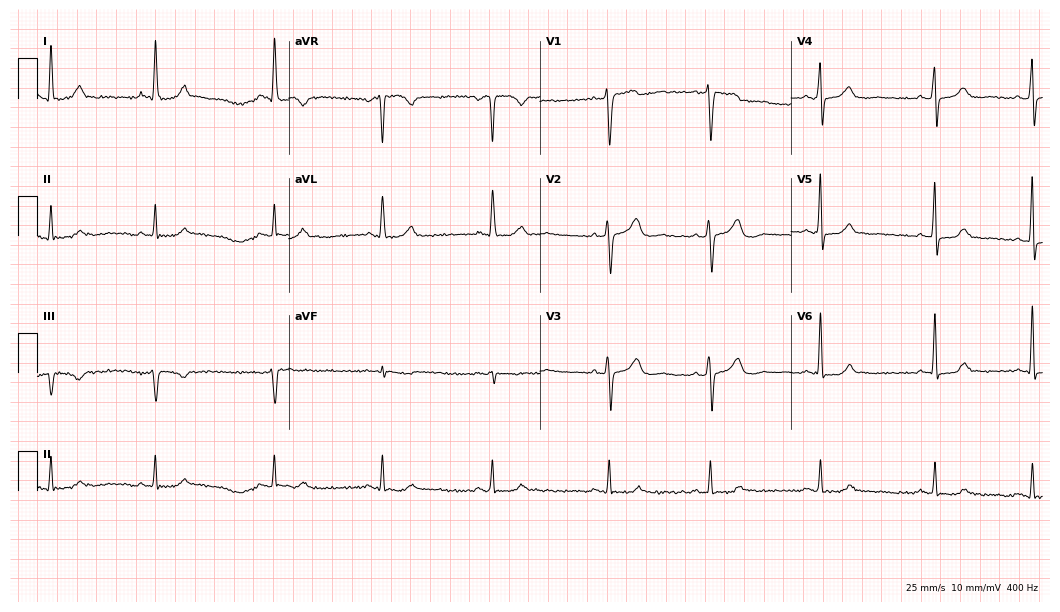
Resting 12-lead electrocardiogram. Patient: a female, 48 years old. None of these six findings is recorded: first-degree AV block, right bundle branch block, left bundle branch block, sinus bradycardia, atrial fibrillation, sinus tachycardia. Findings outside these six are not listed.